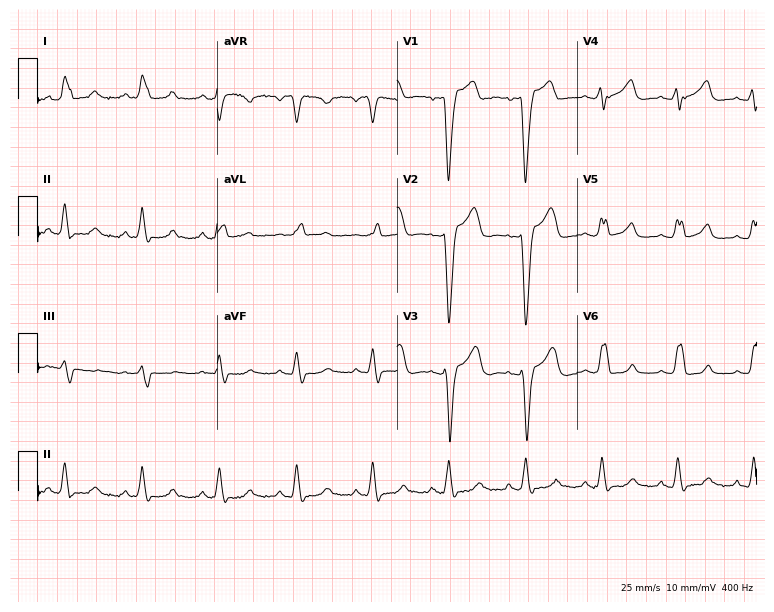
ECG (7.3-second recording at 400 Hz) — a female, 40 years old. Findings include left bundle branch block (LBBB).